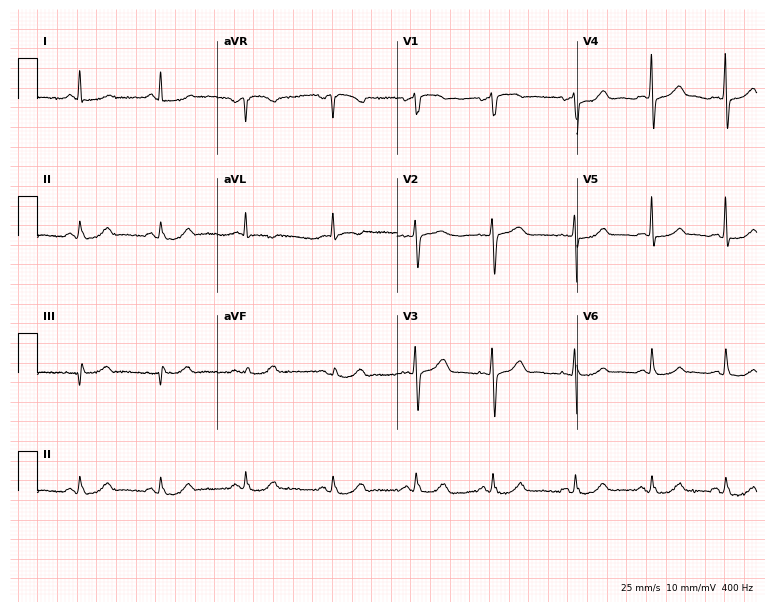
Electrocardiogram, a female patient, 70 years old. Of the six screened findings (first-degree AV block, right bundle branch block (RBBB), left bundle branch block (LBBB), sinus bradycardia, atrial fibrillation (AF), sinus tachycardia), none is recorded. Only these six findings were labelled.